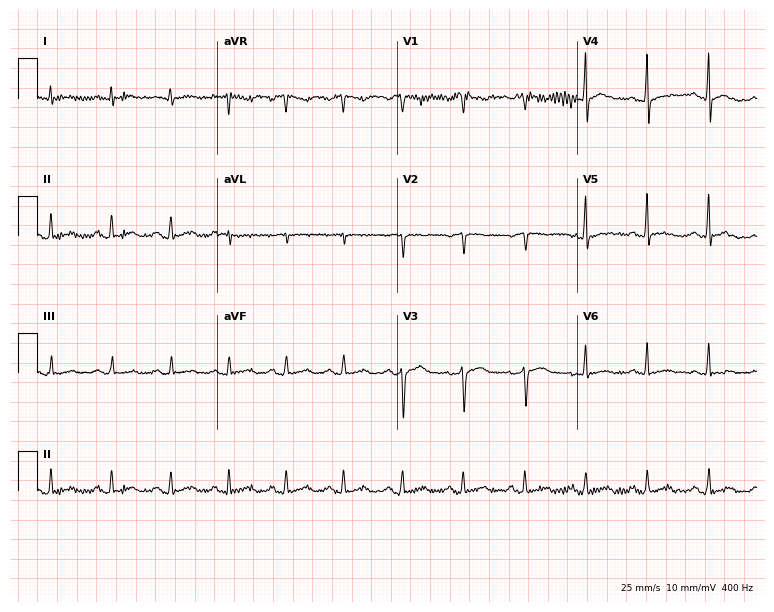
12-lead ECG from a 45-year-old male. No first-degree AV block, right bundle branch block, left bundle branch block, sinus bradycardia, atrial fibrillation or sinus tachycardia recorded for this tracing.